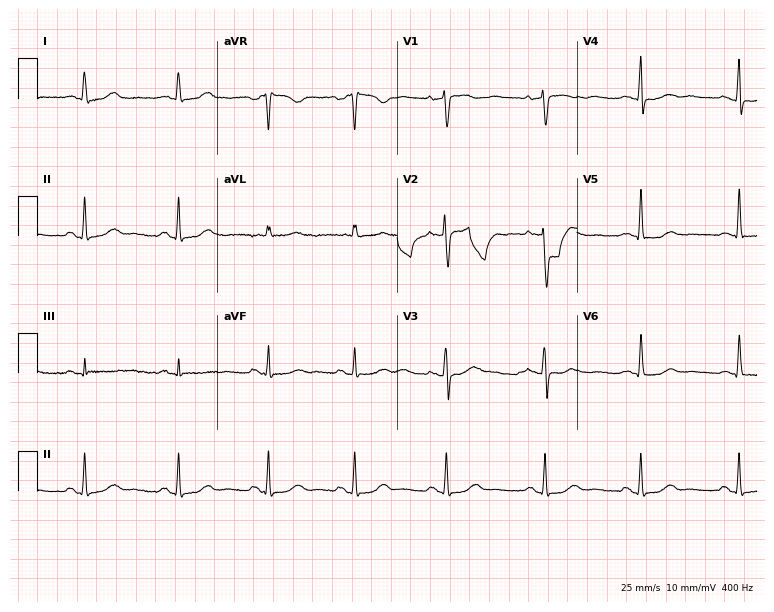
Electrocardiogram (7.3-second recording at 400 Hz), a female, 57 years old. Of the six screened findings (first-degree AV block, right bundle branch block, left bundle branch block, sinus bradycardia, atrial fibrillation, sinus tachycardia), none is recorded.